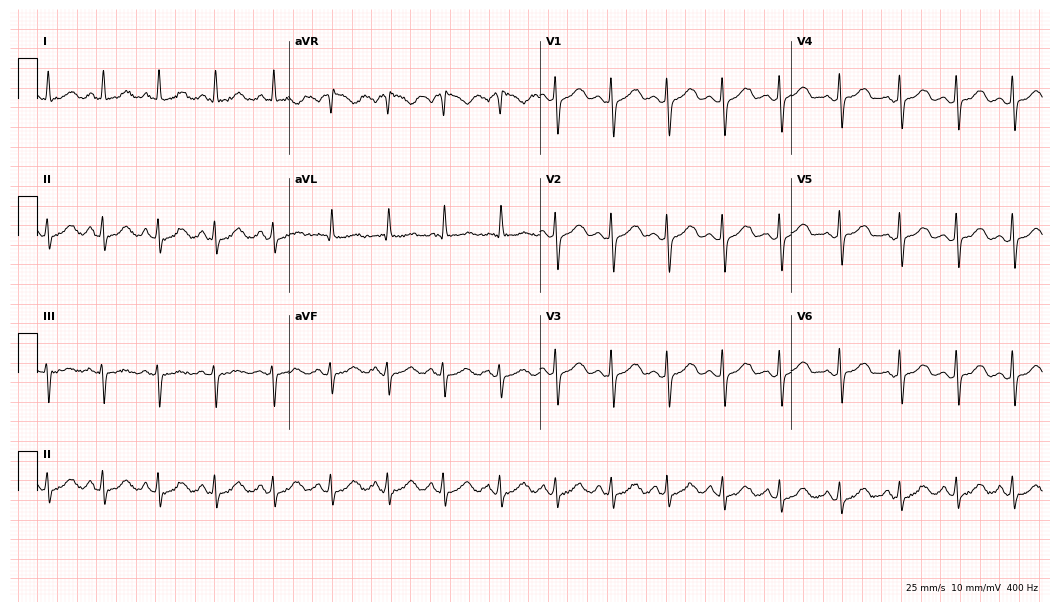
Electrocardiogram (10.2-second recording at 400 Hz), a 39-year-old female. Interpretation includes sinus tachycardia (a sinus rate of 100 beats per minute or more).